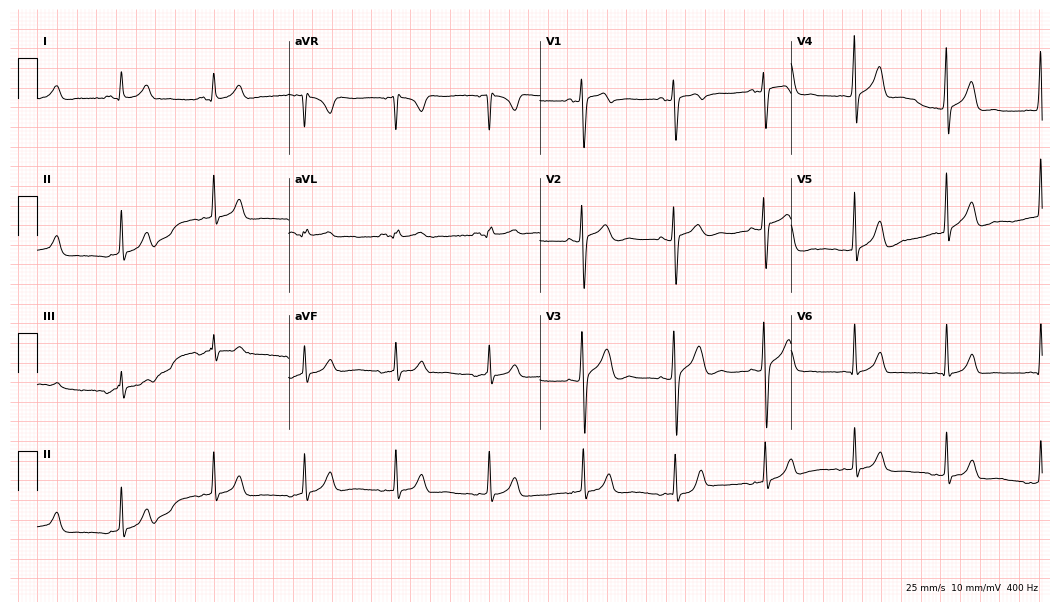
ECG (10.2-second recording at 400 Hz) — a 24-year-old male patient. Screened for six findings — first-degree AV block, right bundle branch block, left bundle branch block, sinus bradycardia, atrial fibrillation, sinus tachycardia — none is recorded. Other findings, if any, are not listed.